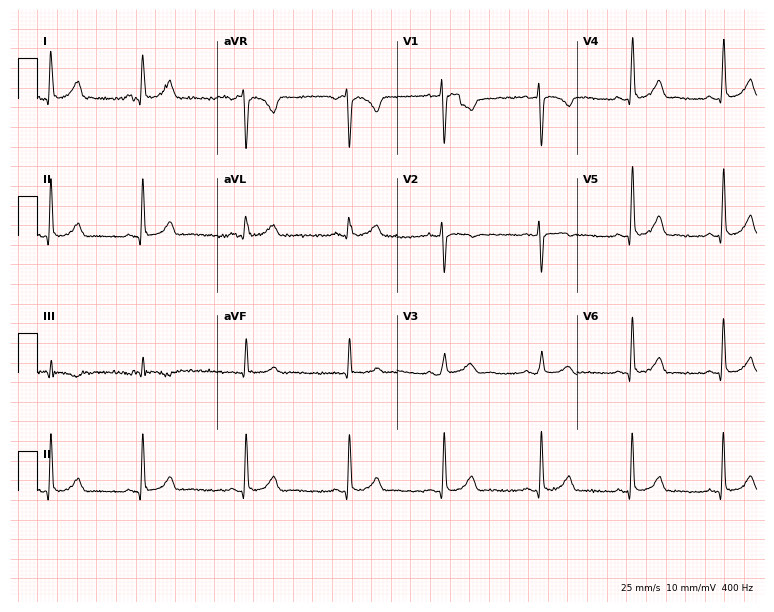
12-lead ECG from a 35-year-old woman. No first-degree AV block, right bundle branch block, left bundle branch block, sinus bradycardia, atrial fibrillation or sinus tachycardia recorded for this tracing. Findings outside these six are not listed.